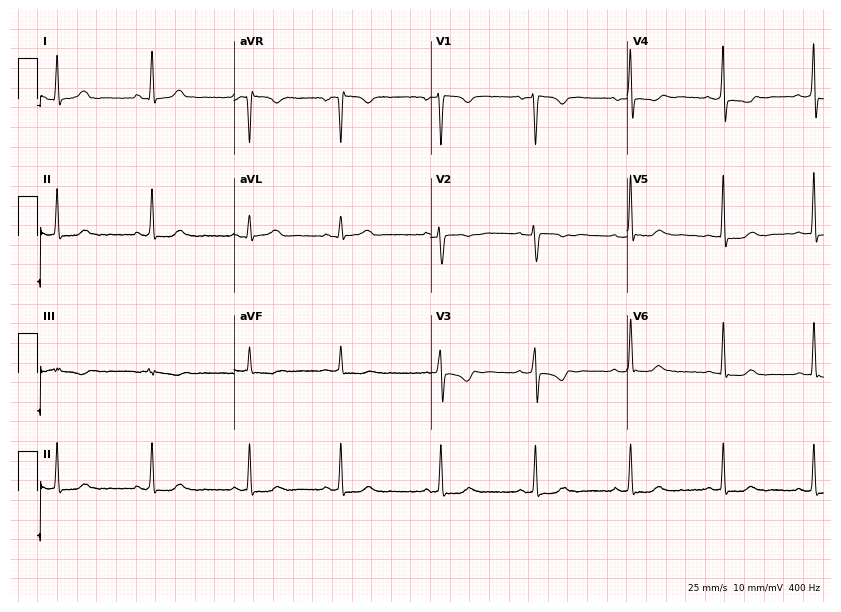
Standard 12-lead ECG recorded from a 26-year-old female patient. None of these six findings is recorded: first-degree AV block, right bundle branch block, left bundle branch block, sinus bradycardia, atrial fibrillation, sinus tachycardia. Findings outside these six are not listed.